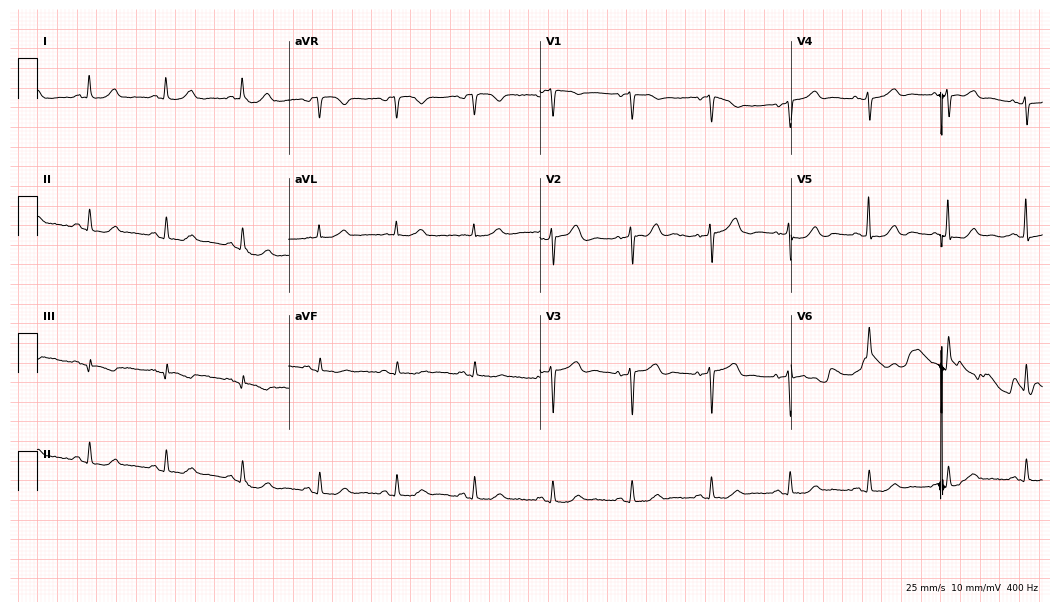
Resting 12-lead electrocardiogram. Patient: a 76-year-old female. Read as a normal ECG.